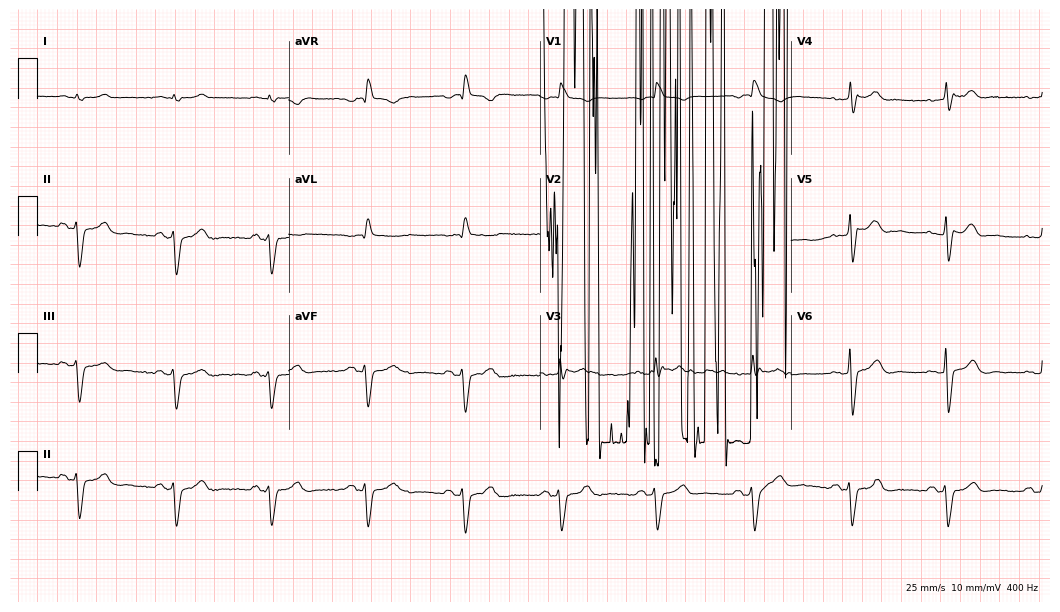
12-lead ECG from a 69-year-old man. No first-degree AV block, right bundle branch block, left bundle branch block, sinus bradycardia, atrial fibrillation or sinus tachycardia recorded for this tracing. Other findings, if any, are not listed.